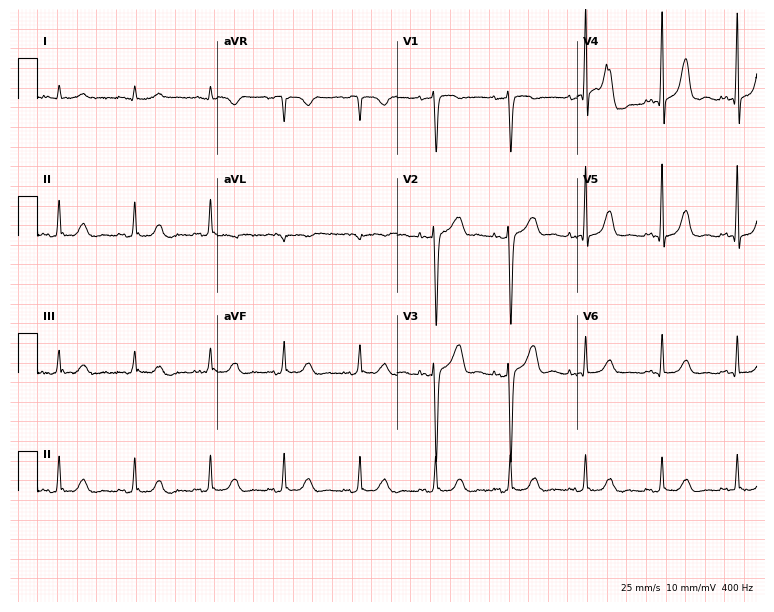
Electrocardiogram, a male patient, 82 years old. Overall reading on record: normal ECG.